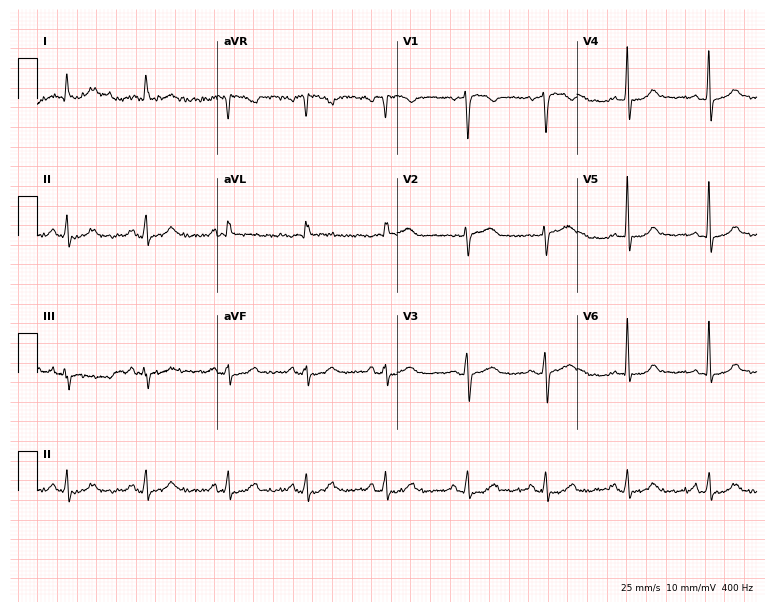
Standard 12-lead ECG recorded from a 75-year-old female. Read as a normal ECG.